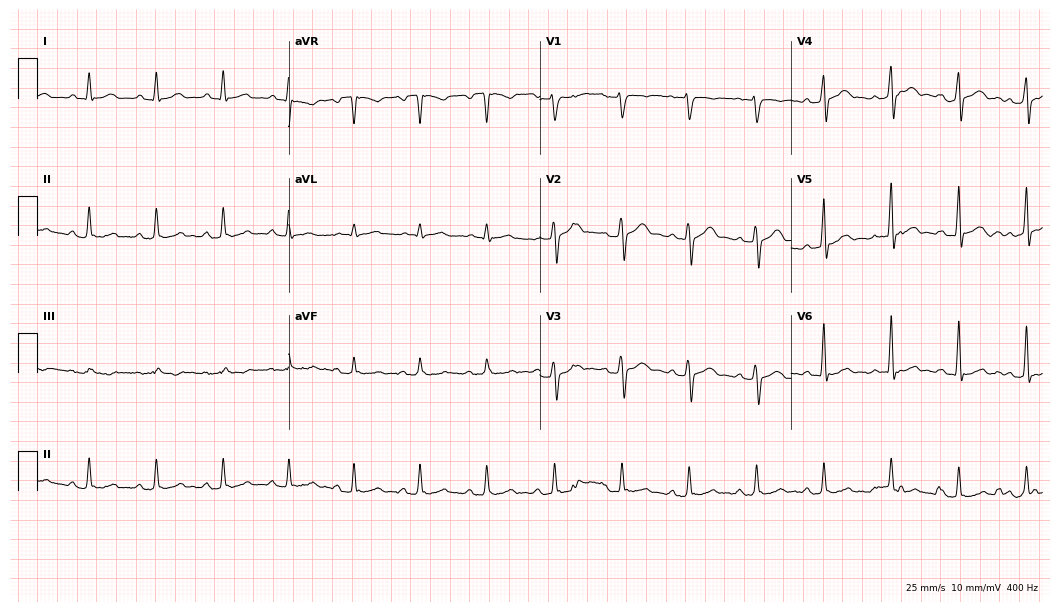
12-lead ECG from a man, 41 years old. Recorded interpretation: within normal limits.